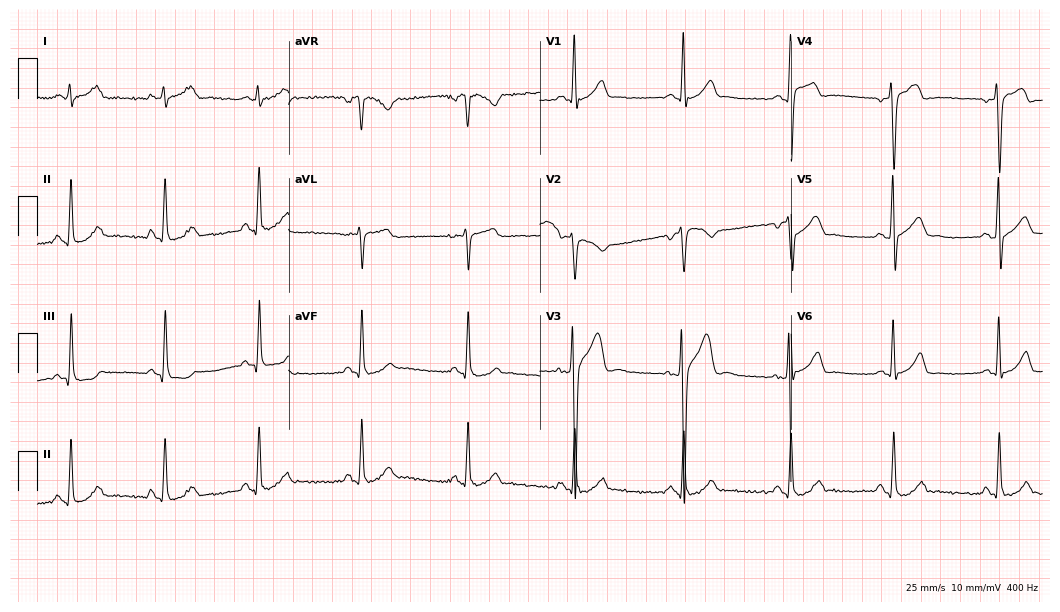
Standard 12-lead ECG recorded from a male patient, 41 years old (10.2-second recording at 400 Hz). None of these six findings is recorded: first-degree AV block, right bundle branch block (RBBB), left bundle branch block (LBBB), sinus bradycardia, atrial fibrillation (AF), sinus tachycardia. Only these six findings were labelled.